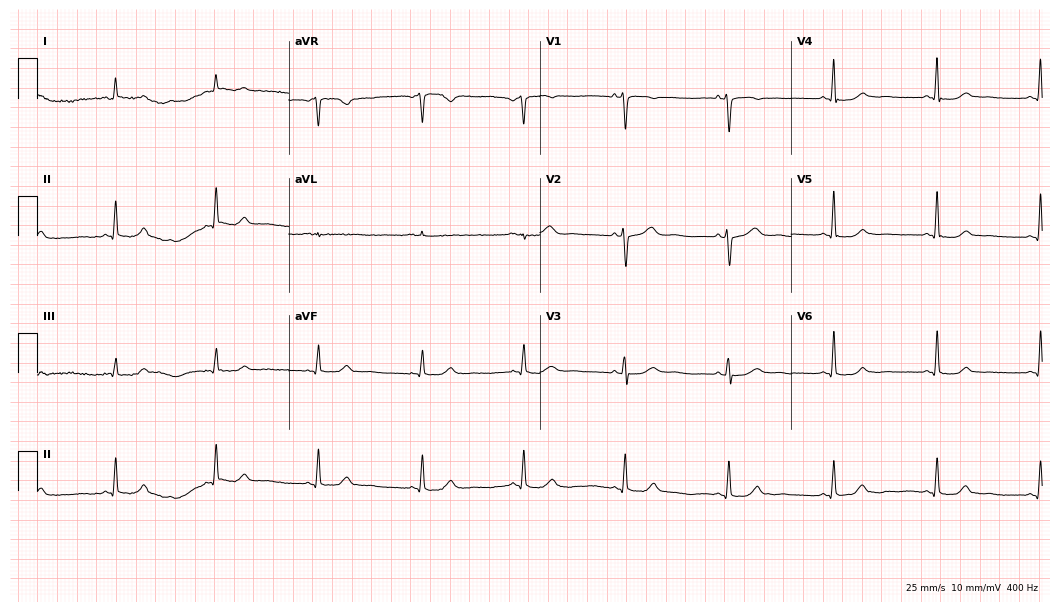
ECG (10.2-second recording at 400 Hz) — a female patient, 48 years old. Screened for six findings — first-degree AV block, right bundle branch block, left bundle branch block, sinus bradycardia, atrial fibrillation, sinus tachycardia — none is recorded. Findings outside these six are not listed.